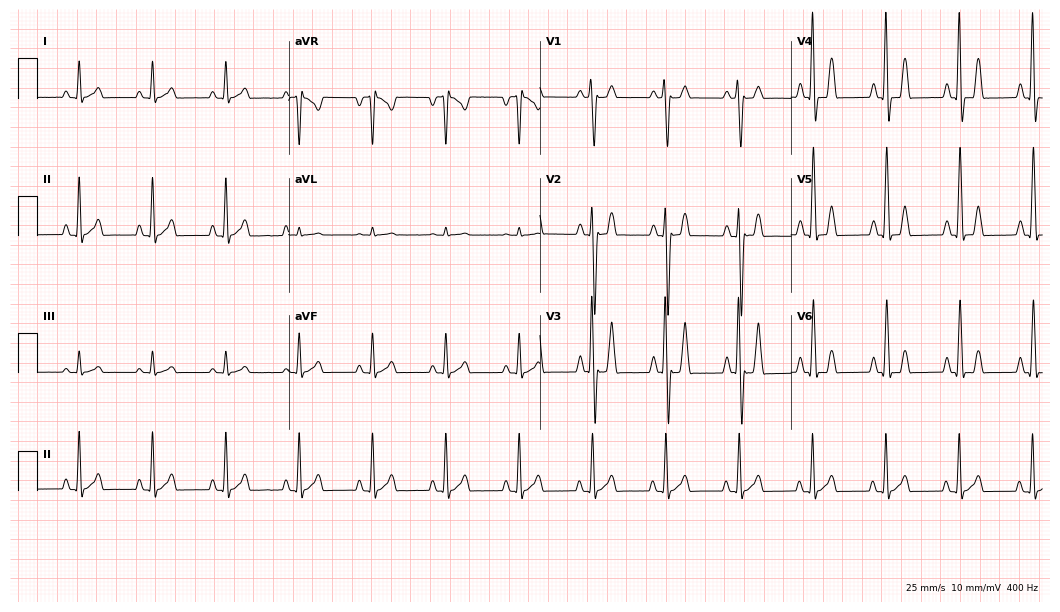
Resting 12-lead electrocardiogram. Patient: a 19-year-old female. Read as a normal ECG.